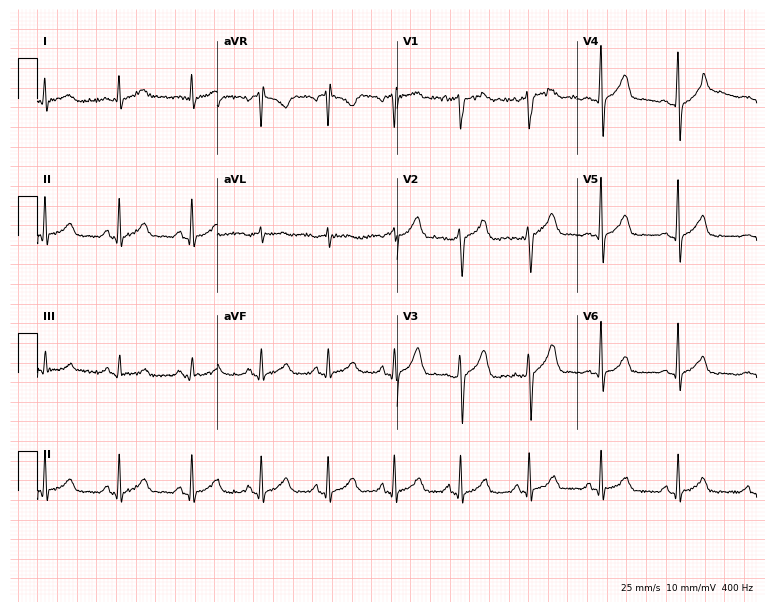
Electrocardiogram, a 38-year-old male patient. Overall reading on record: normal ECG.